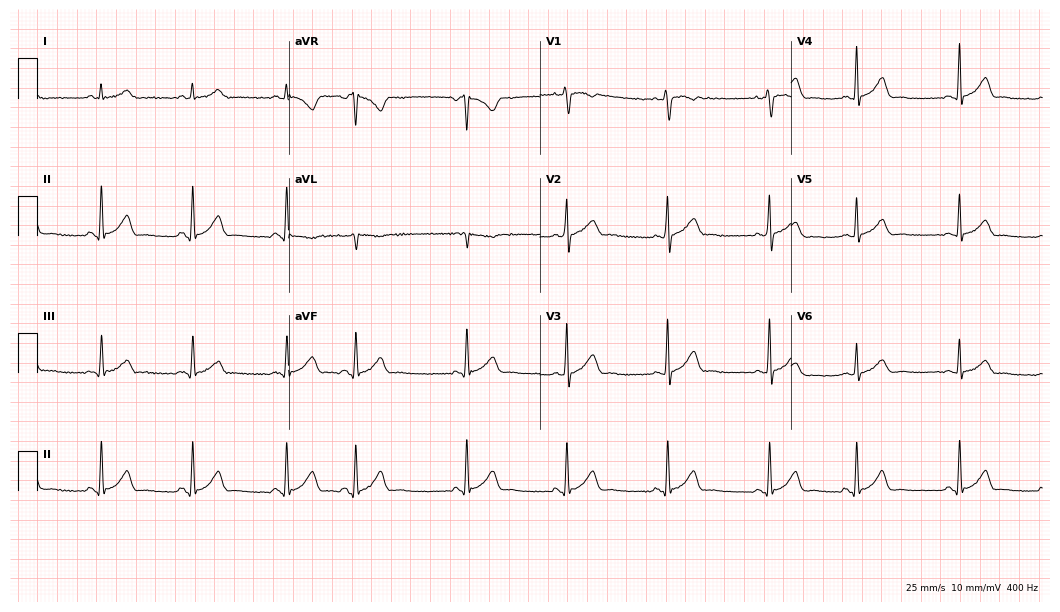
ECG — a 19-year-old female patient. Screened for six findings — first-degree AV block, right bundle branch block, left bundle branch block, sinus bradycardia, atrial fibrillation, sinus tachycardia — none is recorded. Findings outside these six are not listed.